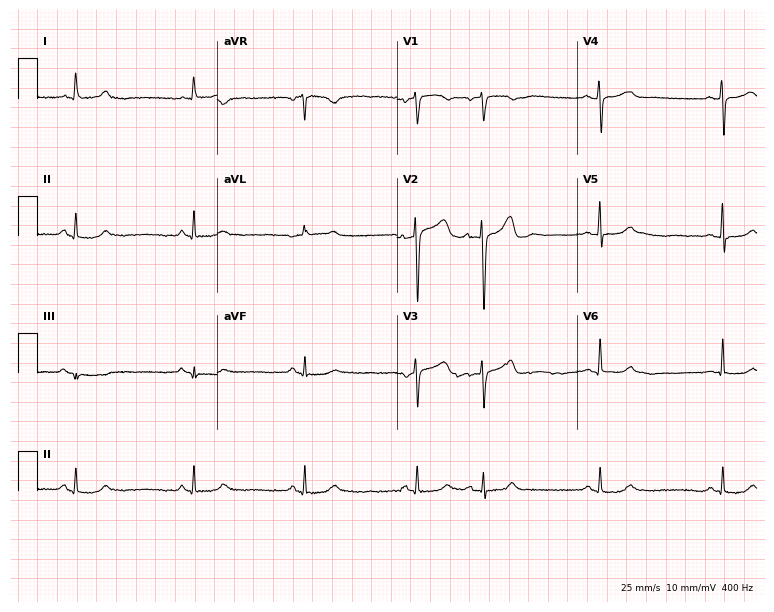
ECG — a 70-year-old male. Screened for six findings — first-degree AV block, right bundle branch block, left bundle branch block, sinus bradycardia, atrial fibrillation, sinus tachycardia — none is recorded. Findings outside these six are not listed.